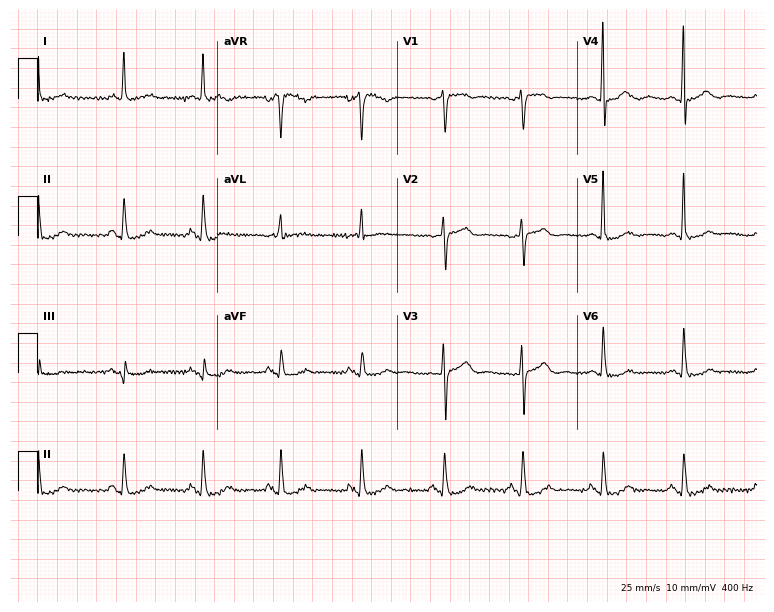
Electrocardiogram (7.3-second recording at 400 Hz), a female, 64 years old. Of the six screened findings (first-degree AV block, right bundle branch block (RBBB), left bundle branch block (LBBB), sinus bradycardia, atrial fibrillation (AF), sinus tachycardia), none is recorded. Only these six findings were labelled.